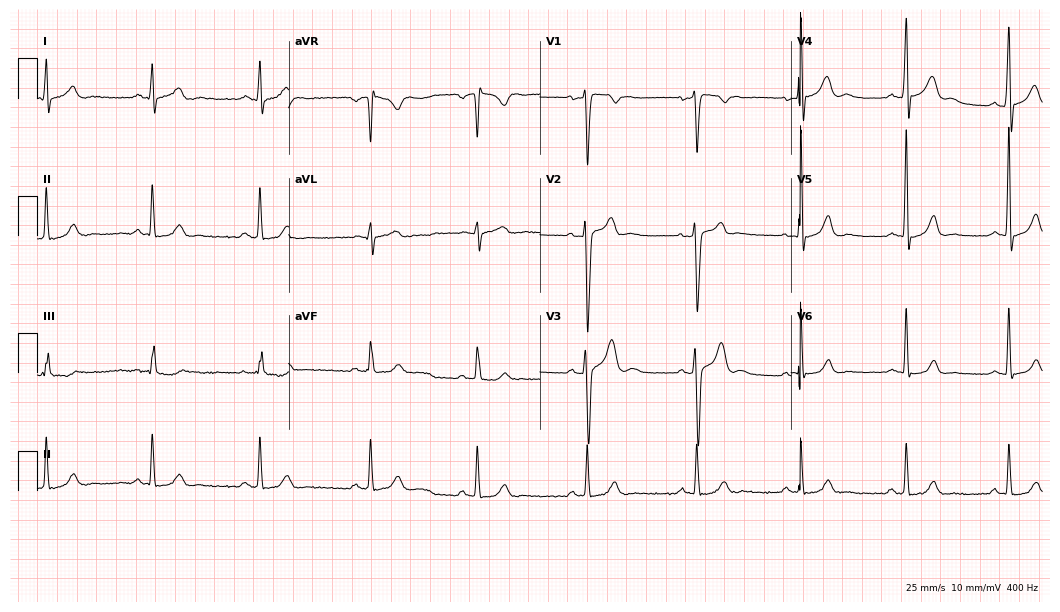
Standard 12-lead ECG recorded from a male patient, 28 years old (10.2-second recording at 400 Hz). None of these six findings is recorded: first-degree AV block, right bundle branch block, left bundle branch block, sinus bradycardia, atrial fibrillation, sinus tachycardia. Only these six findings were labelled.